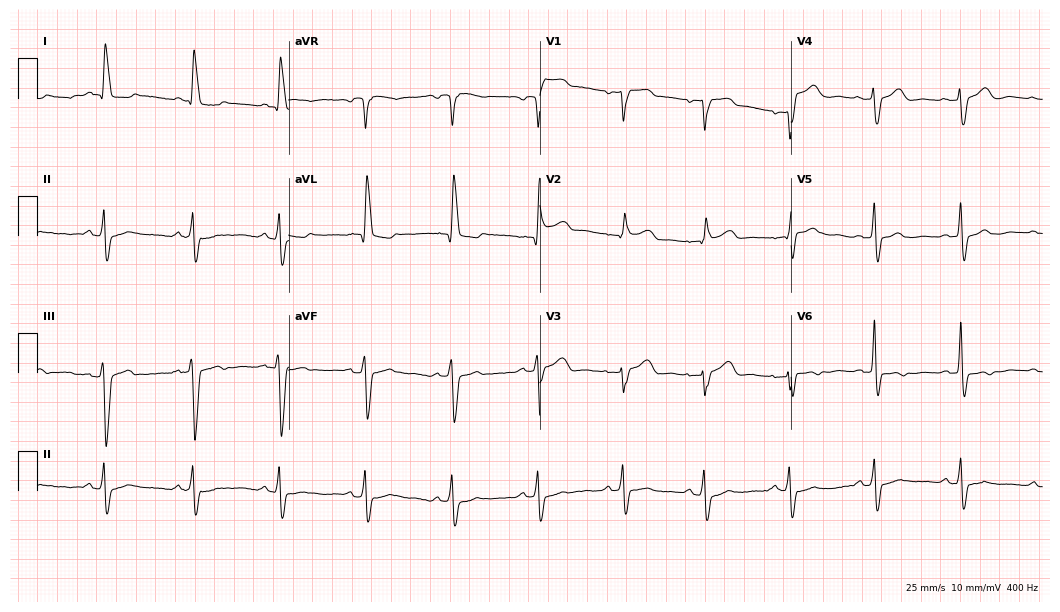
Standard 12-lead ECG recorded from a 75-year-old woman. The tracing shows right bundle branch block (RBBB).